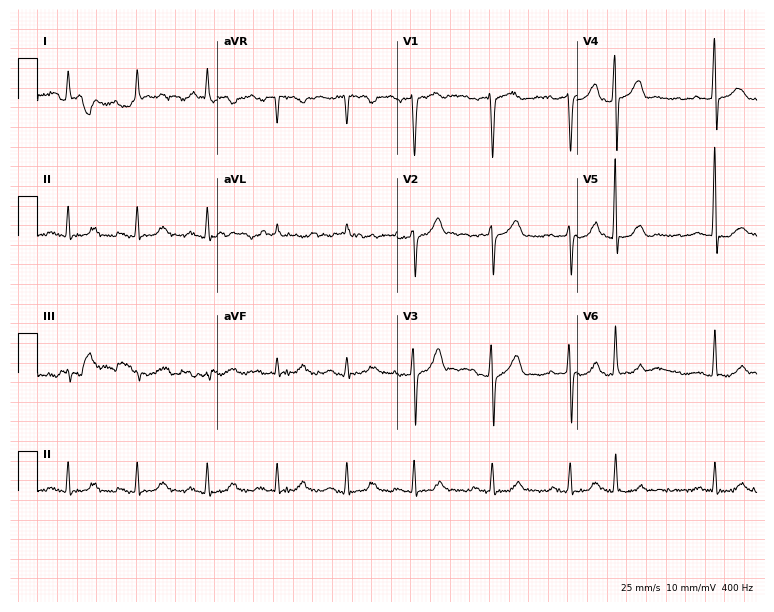
Resting 12-lead electrocardiogram. Patient: a man, 80 years old. None of these six findings is recorded: first-degree AV block, right bundle branch block, left bundle branch block, sinus bradycardia, atrial fibrillation, sinus tachycardia. Only these six findings were labelled.